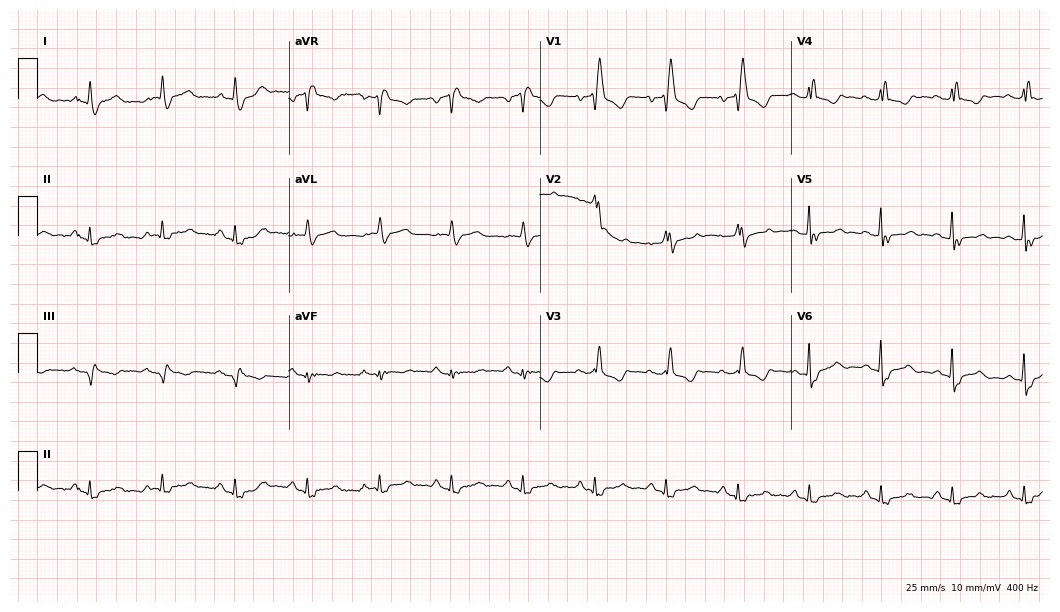
Resting 12-lead electrocardiogram. Patient: an 80-year-old male. The tracing shows right bundle branch block.